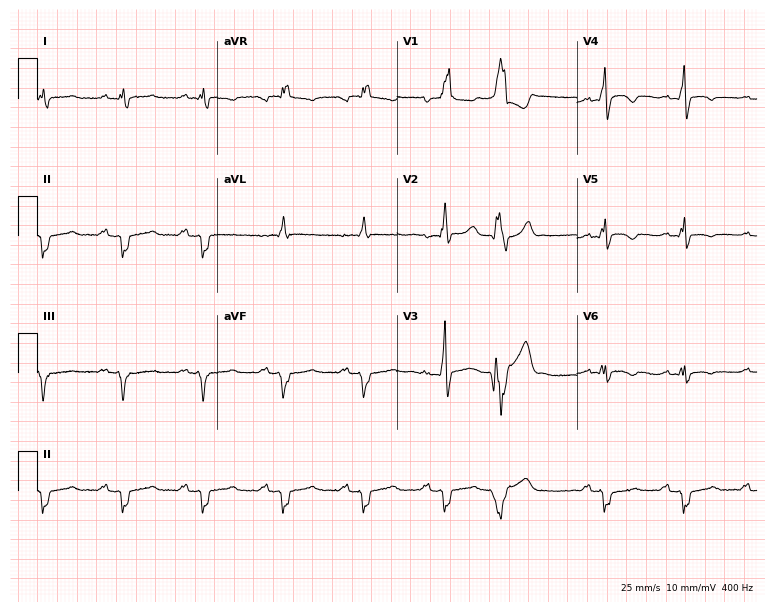
Resting 12-lead electrocardiogram (7.3-second recording at 400 Hz). Patient: a male, 70 years old. The tracing shows right bundle branch block.